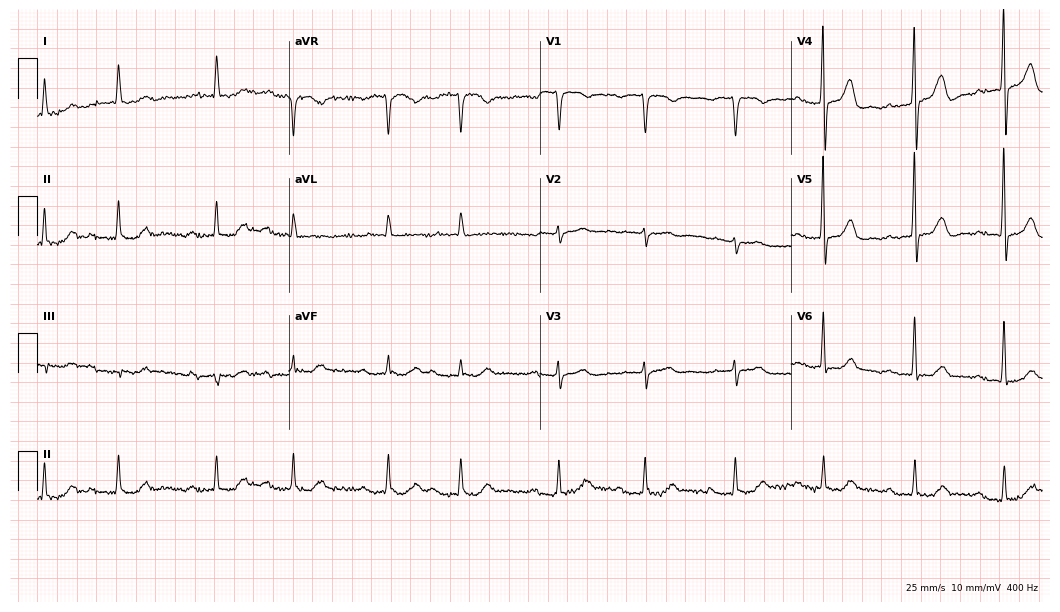
12-lead ECG from a 72-year-old male. Findings include first-degree AV block.